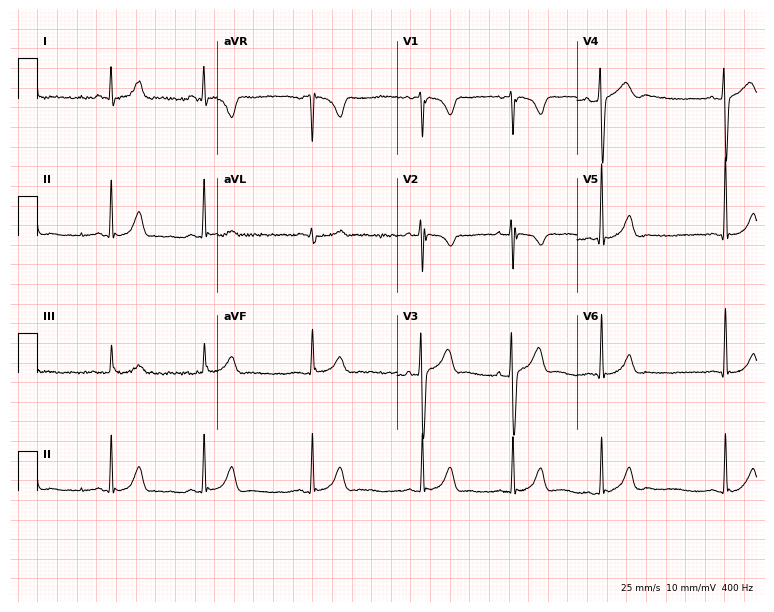
Electrocardiogram (7.3-second recording at 400 Hz), a male patient, 18 years old. Of the six screened findings (first-degree AV block, right bundle branch block (RBBB), left bundle branch block (LBBB), sinus bradycardia, atrial fibrillation (AF), sinus tachycardia), none is recorded. Findings outside these six are not listed.